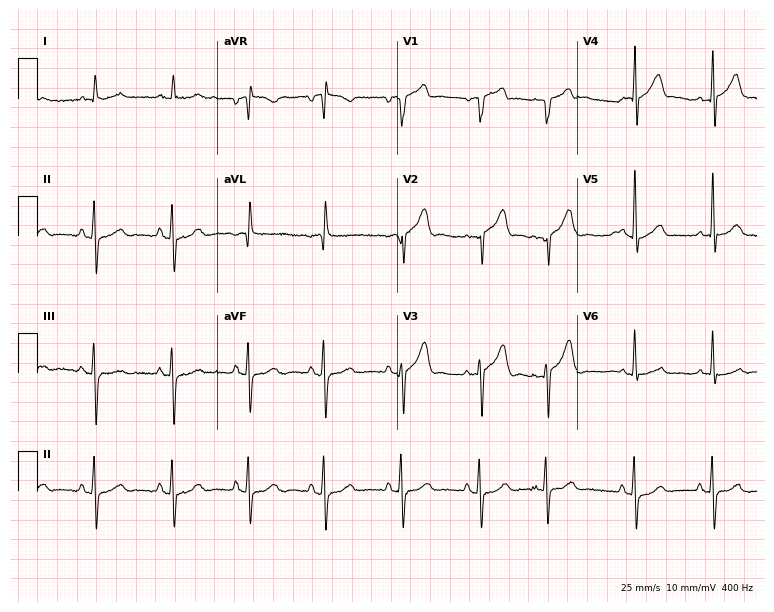
Resting 12-lead electrocardiogram. Patient: a male, 82 years old. None of these six findings is recorded: first-degree AV block, right bundle branch block, left bundle branch block, sinus bradycardia, atrial fibrillation, sinus tachycardia.